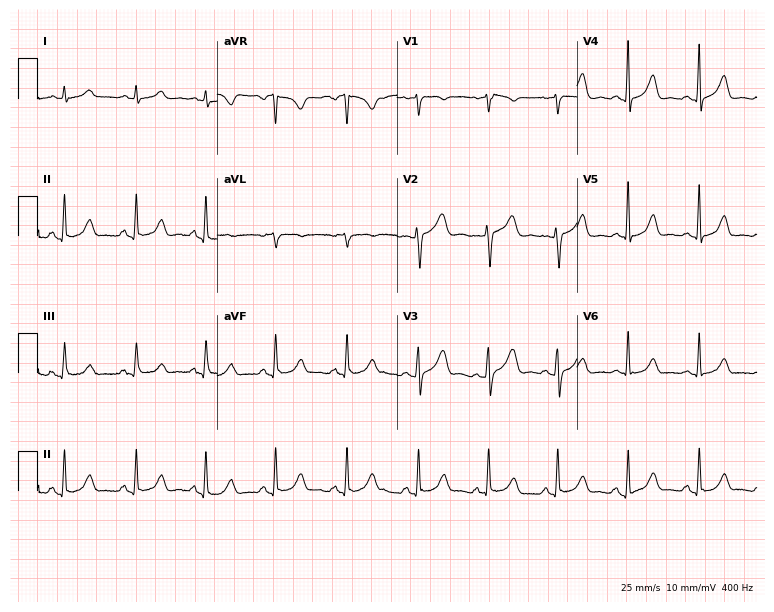
Electrocardiogram, a 45-year-old female. Overall reading on record: normal ECG.